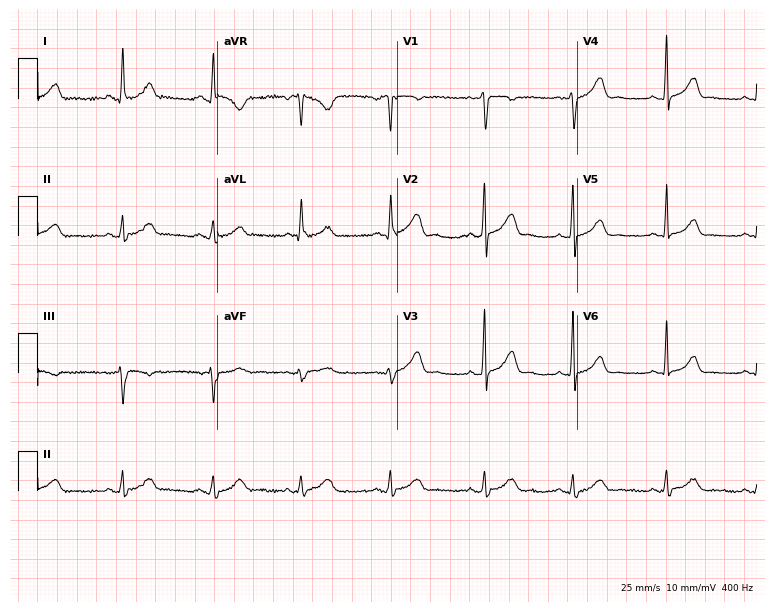
ECG (7.3-second recording at 400 Hz) — a female patient, 28 years old. Labelled as a normal ECG.